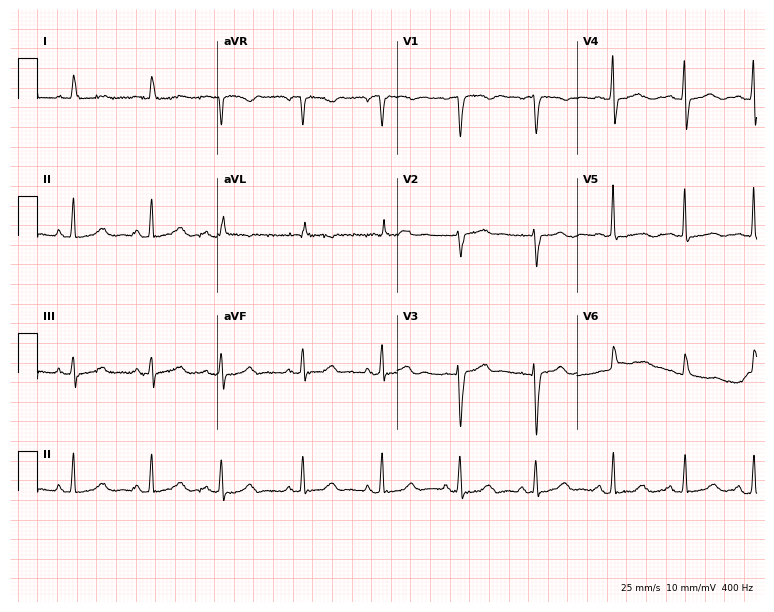
12-lead ECG (7.3-second recording at 400 Hz) from a female, 83 years old. Screened for six findings — first-degree AV block, right bundle branch block (RBBB), left bundle branch block (LBBB), sinus bradycardia, atrial fibrillation (AF), sinus tachycardia — none is recorded.